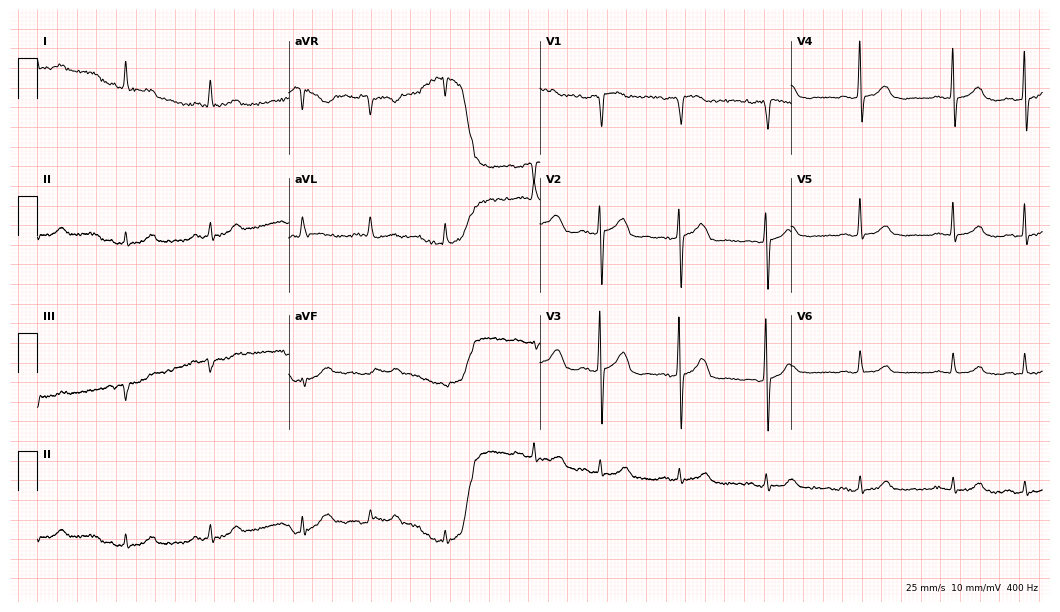
Resting 12-lead electrocardiogram. Patient: a female, 73 years old. Read as a normal ECG.